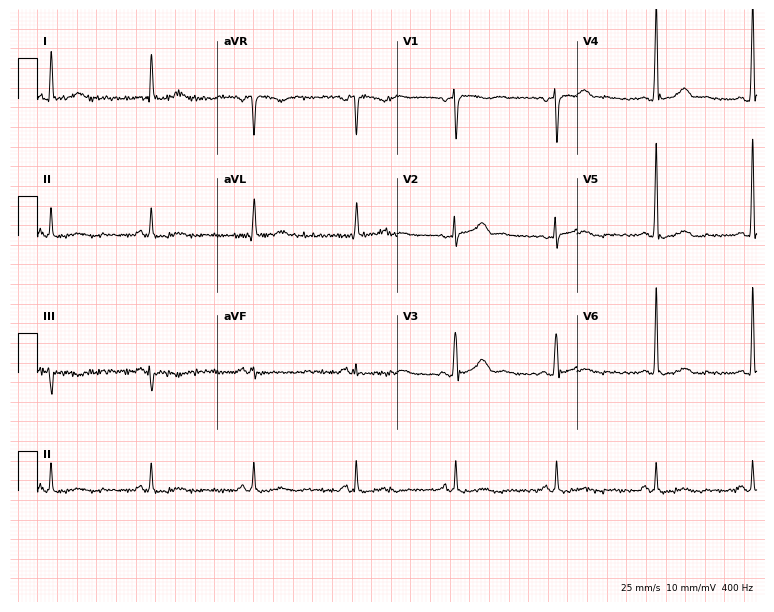
12-lead ECG from a 52-year-old man. Recorded interpretation: within normal limits.